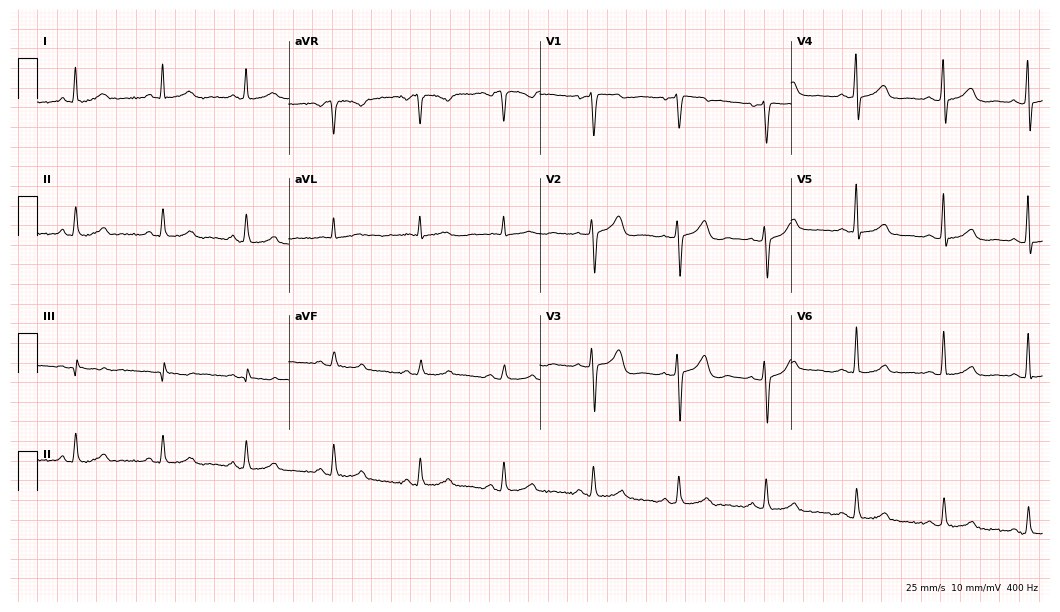
Standard 12-lead ECG recorded from a 41-year-old female. Read as a normal ECG.